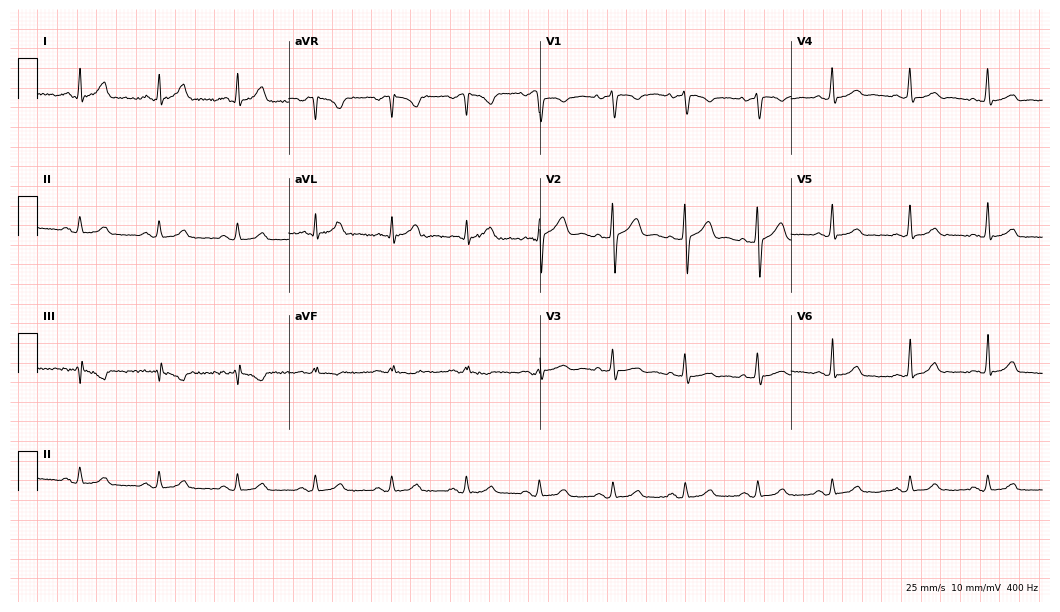
12-lead ECG (10.2-second recording at 400 Hz) from a male patient, 36 years old. Labelled as a normal ECG.